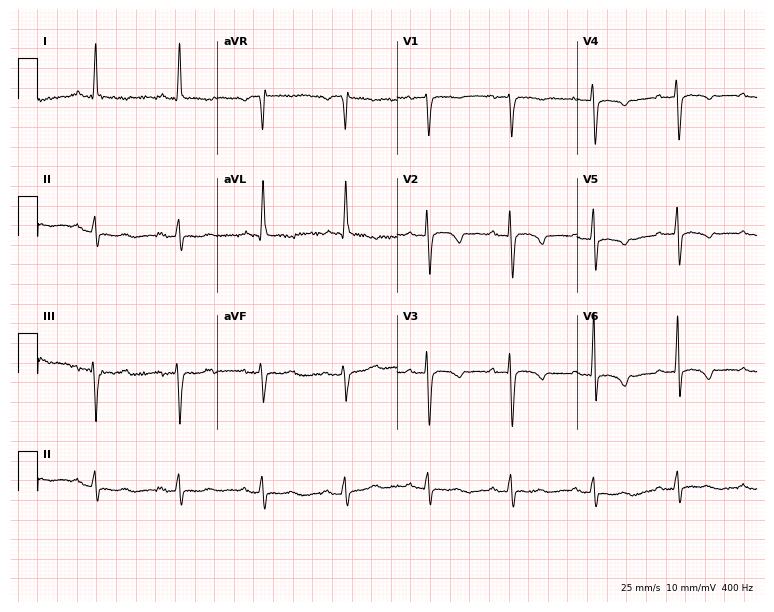
12-lead ECG from a 62-year-old woman (7.3-second recording at 400 Hz). No first-degree AV block, right bundle branch block, left bundle branch block, sinus bradycardia, atrial fibrillation or sinus tachycardia recorded for this tracing.